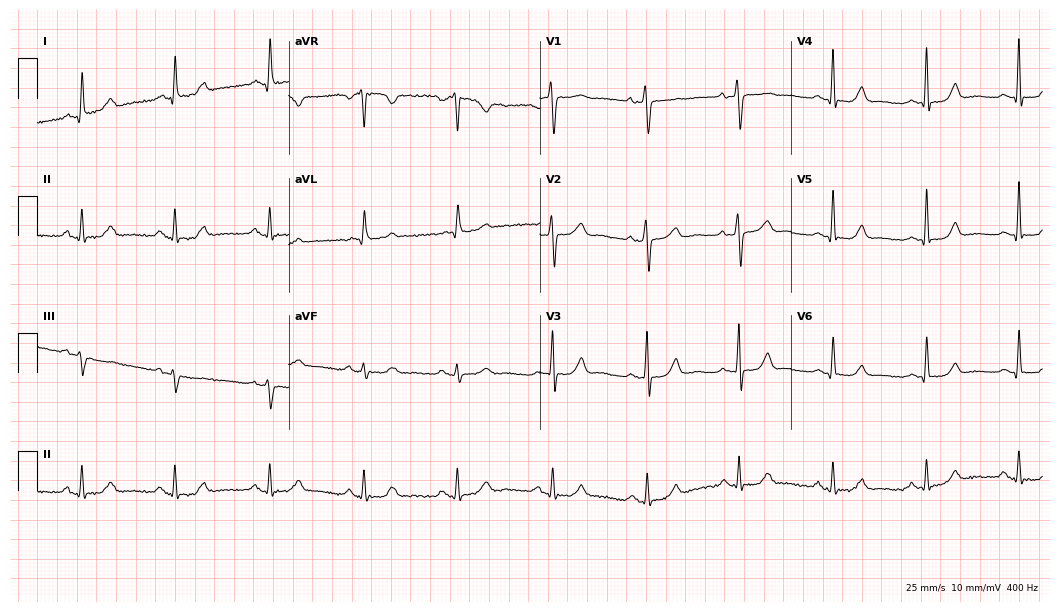
ECG — a 57-year-old female. Labelled as a normal ECG.